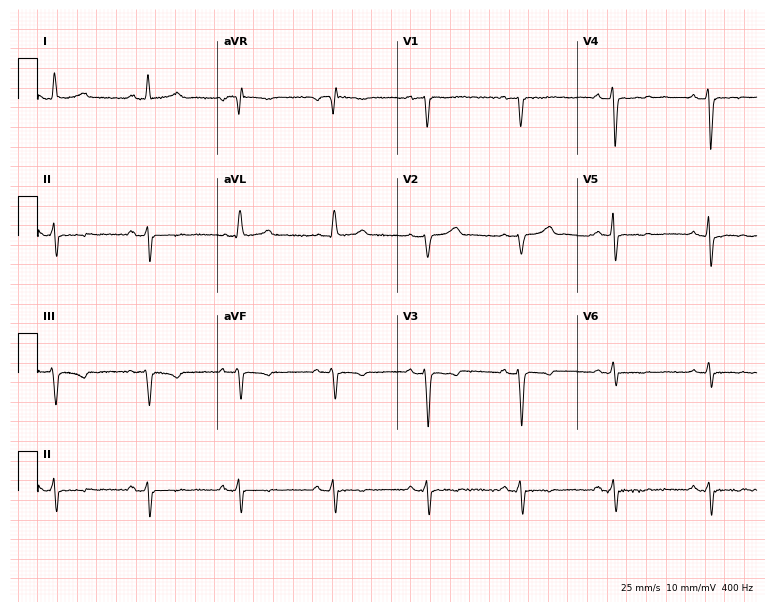
ECG — a 60-year-old female. Screened for six findings — first-degree AV block, right bundle branch block (RBBB), left bundle branch block (LBBB), sinus bradycardia, atrial fibrillation (AF), sinus tachycardia — none is recorded. Other findings, if any, are not listed.